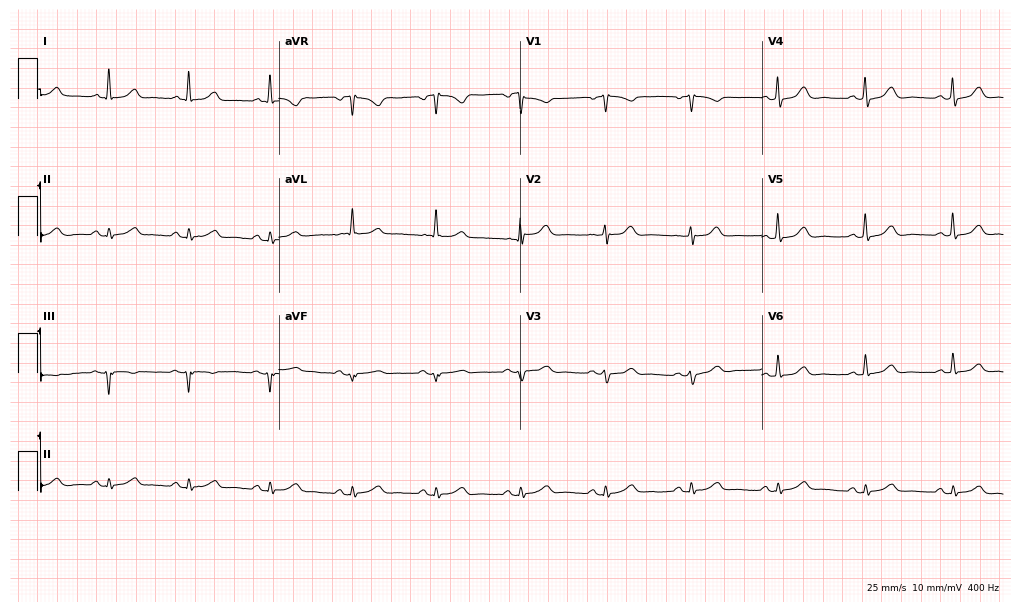
12-lead ECG (9.8-second recording at 400 Hz) from a 66-year-old female patient. Labelled as a normal ECG.